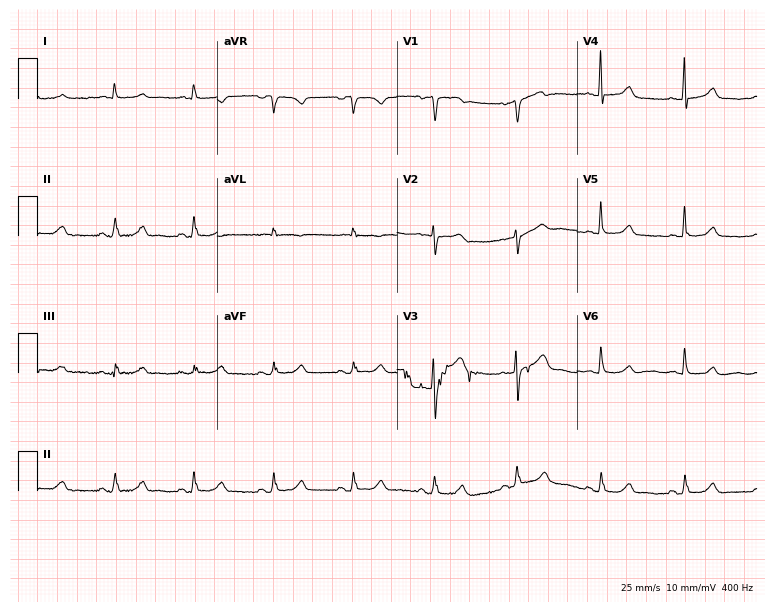
Resting 12-lead electrocardiogram (7.3-second recording at 400 Hz). Patient: a 75-year-old woman. Read as a normal ECG.